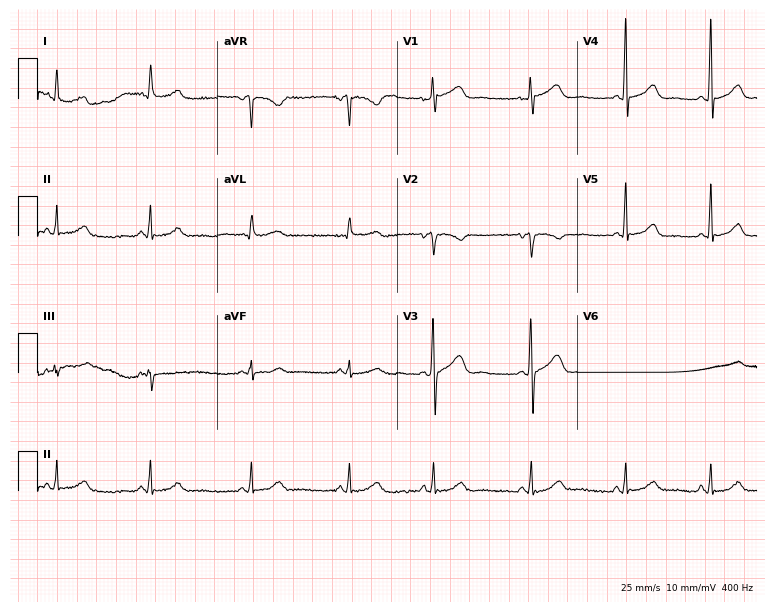
Electrocardiogram, a 35-year-old female. Of the six screened findings (first-degree AV block, right bundle branch block, left bundle branch block, sinus bradycardia, atrial fibrillation, sinus tachycardia), none is recorded. Findings outside these six are not listed.